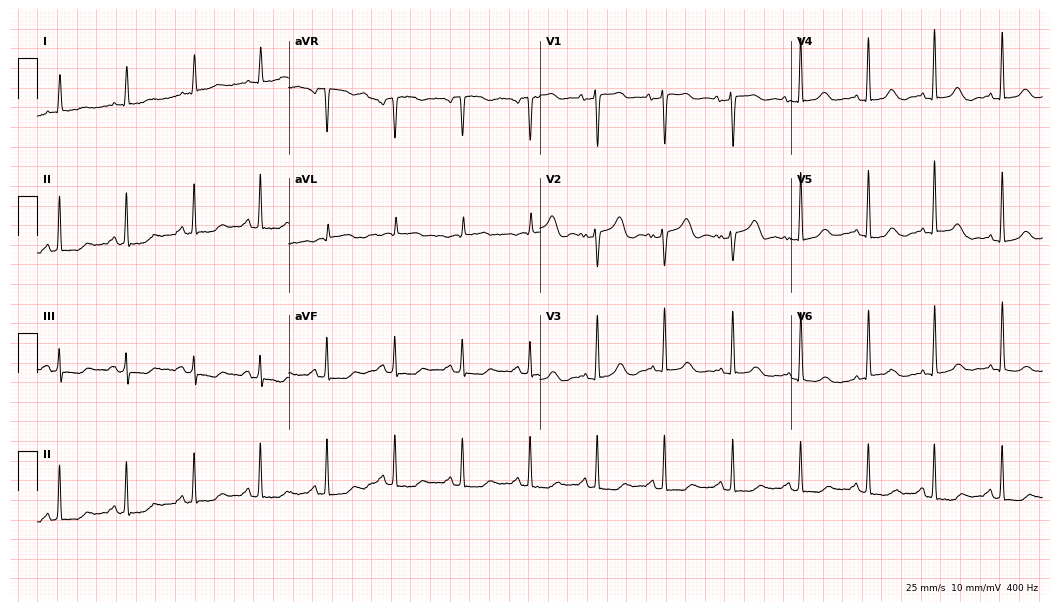
Resting 12-lead electrocardiogram (10.2-second recording at 400 Hz). Patient: a female, 85 years old. None of these six findings is recorded: first-degree AV block, right bundle branch block, left bundle branch block, sinus bradycardia, atrial fibrillation, sinus tachycardia. Other findings, if any, are not listed.